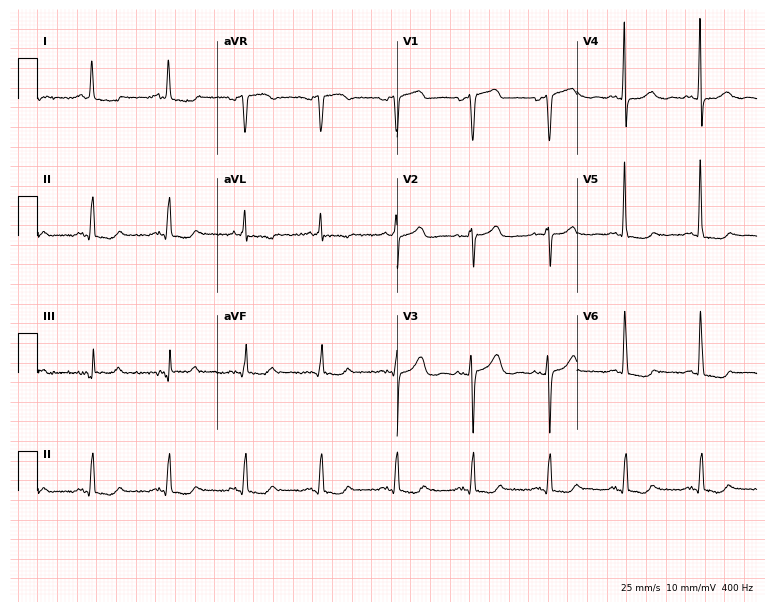
Electrocardiogram, a female, 71 years old. Of the six screened findings (first-degree AV block, right bundle branch block (RBBB), left bundle branch block (LBBB), sinus bradycardia, atrial fibrillation (AF), sinus tachycardia), none is recorded. Only these six findings were labelled.